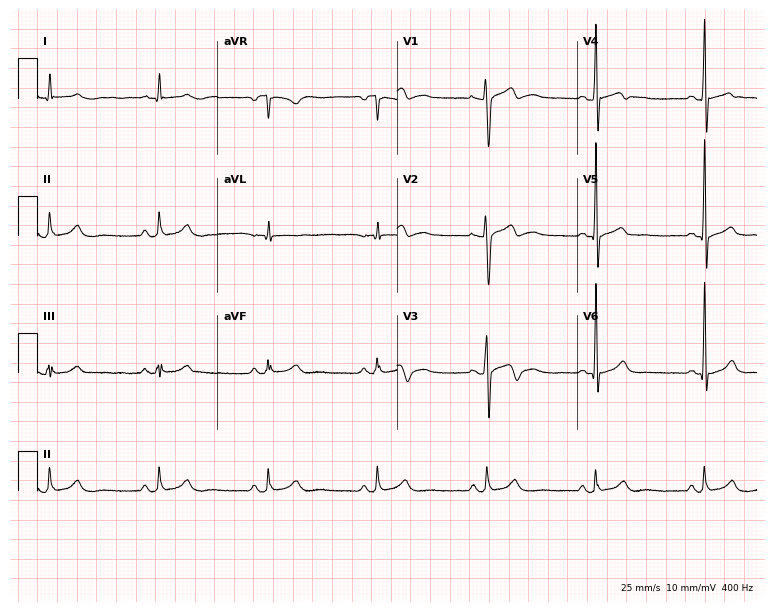
ECG — a male, 26 years old. Labelled as a normal ECG.